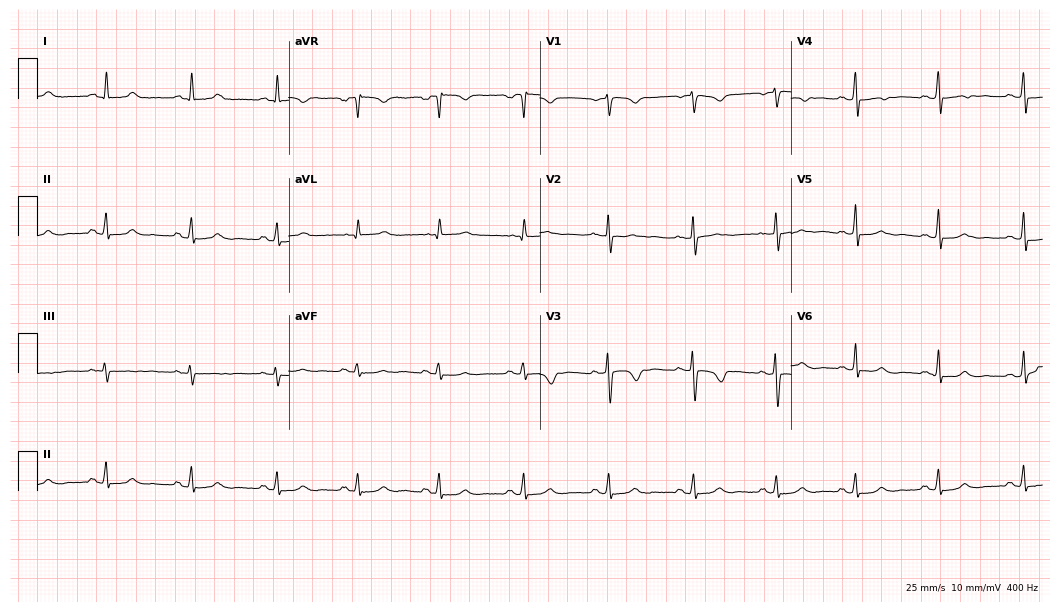
12-lead ECG (10.2-second recording at 400 Hz) from a female patient, 44 years old. Screened for six findings — first-degree AV block, right bundle branch block, left bundle branch block, sinus bradycardia, atrial fibrillation, sinus tachycardia — none is recorded. Other findings, if any, are not listed.